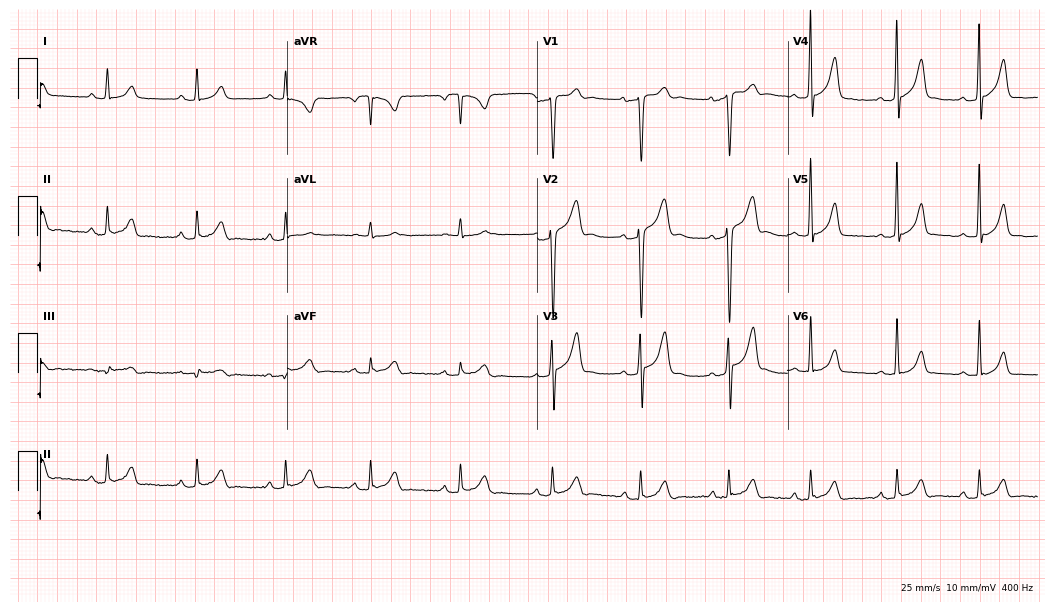
Resting 12-lead electrocardiogram (10.2-second recording at 400 Hz). Patient: a male, 24 years old. Read as a normal ECG.